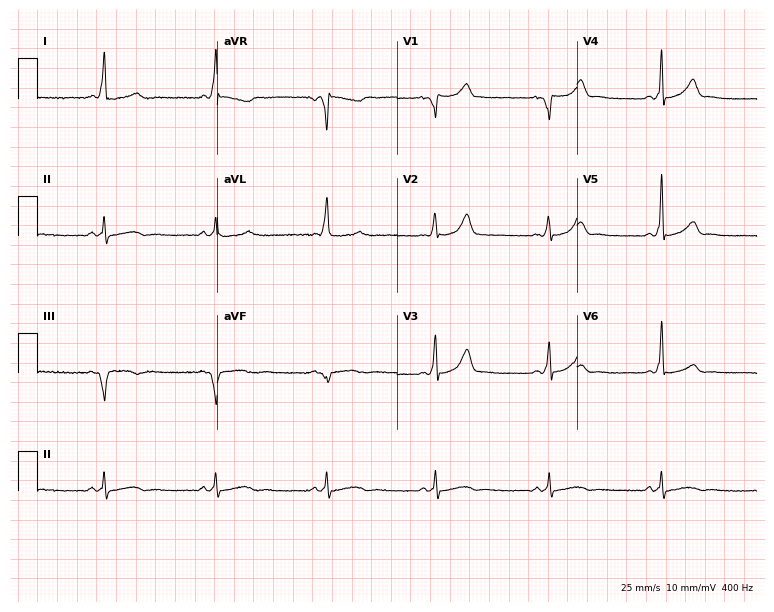
ECG — a male patient, 45 years old. Screened for six findings — first-degree AV block, right bundle branch block, left bundle branch block, sinus bradycardia, atrial fibrillation, sinus tachycardia — none is recorded. Only these six findings were labelled.